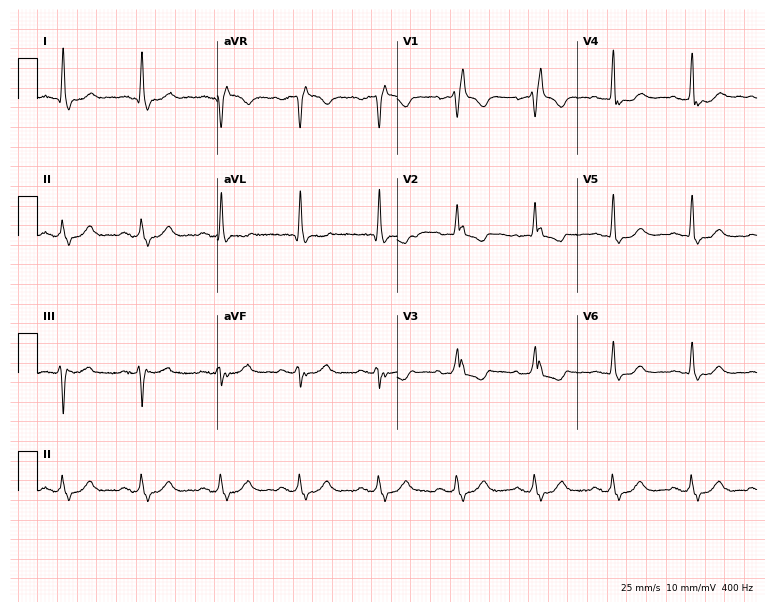
12-lead ECG from a female, 78 years old. No first-degree AV block, right bundle branch block, left bundle branch block, sinus bradycardia, atrial fibrillation or sinus tachycardia recorded for this tracing.